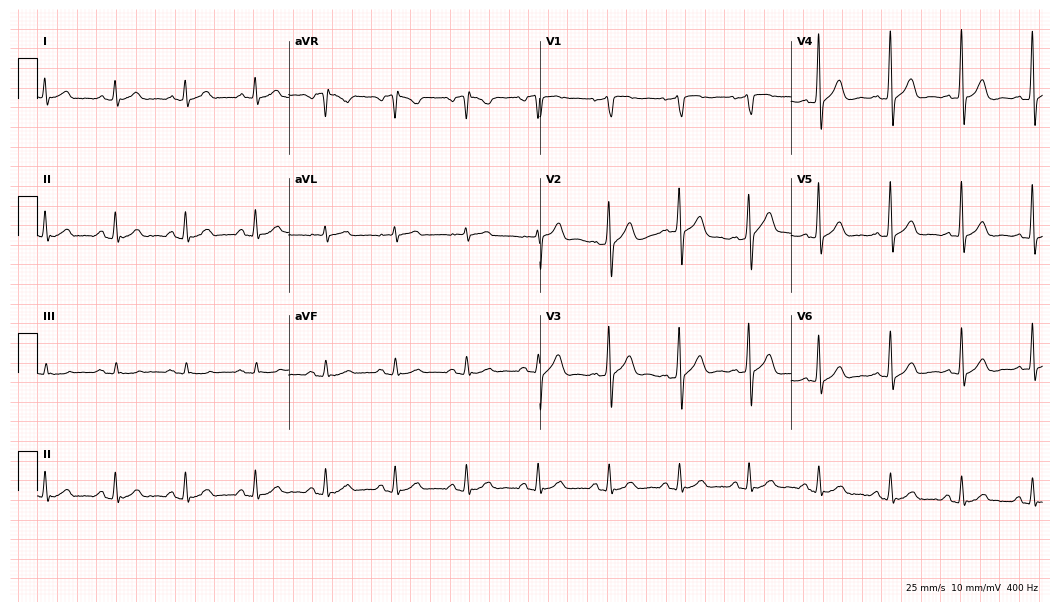
12-lead ECG (10.2-second recording at 400 Hz) from a male, 62 years old. Labelled as a normal ECG.